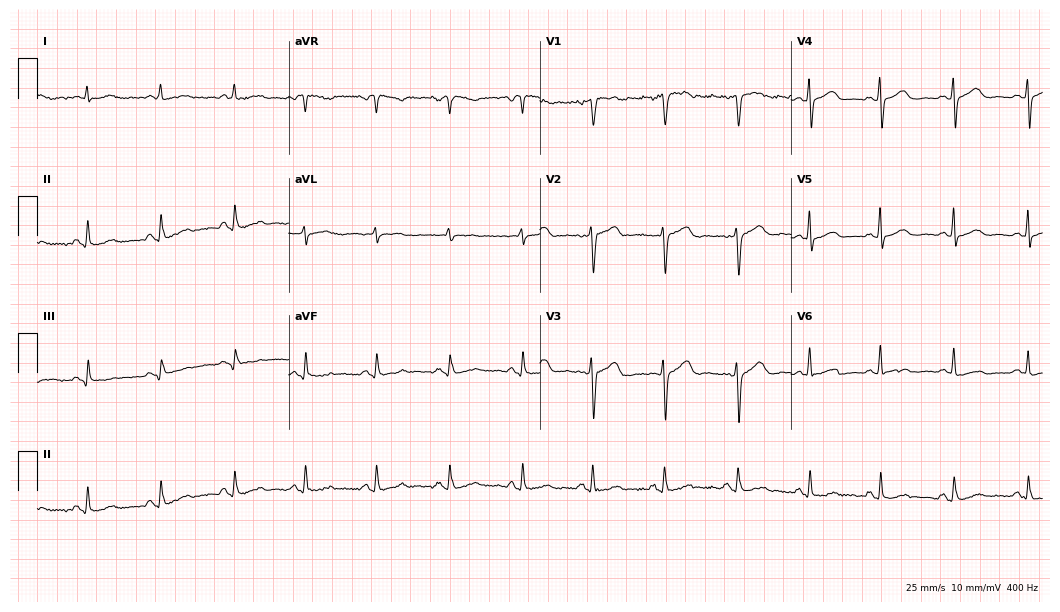
12-lead ECG from a woman, 60 years old. Labelled as a normal ECG.